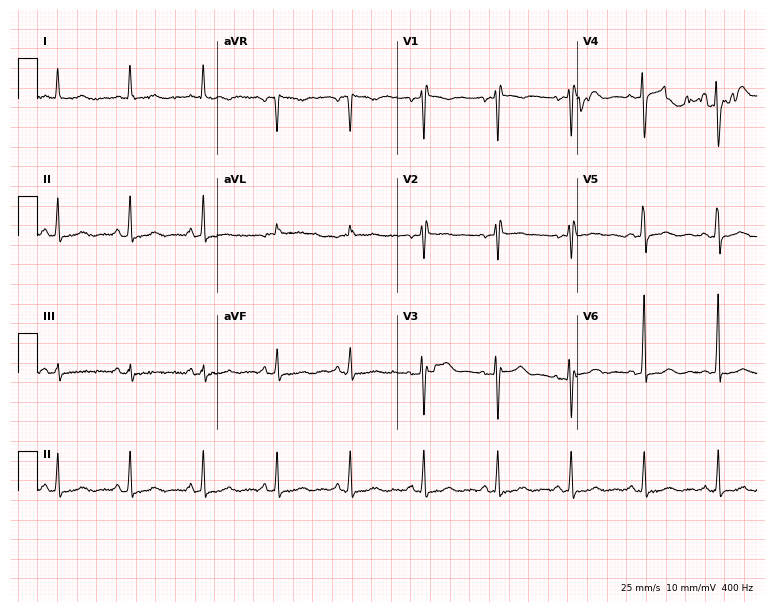
Resting 12-lead electrocardiogram. Patient: a female, 45 years old. Read as a normal ECG.